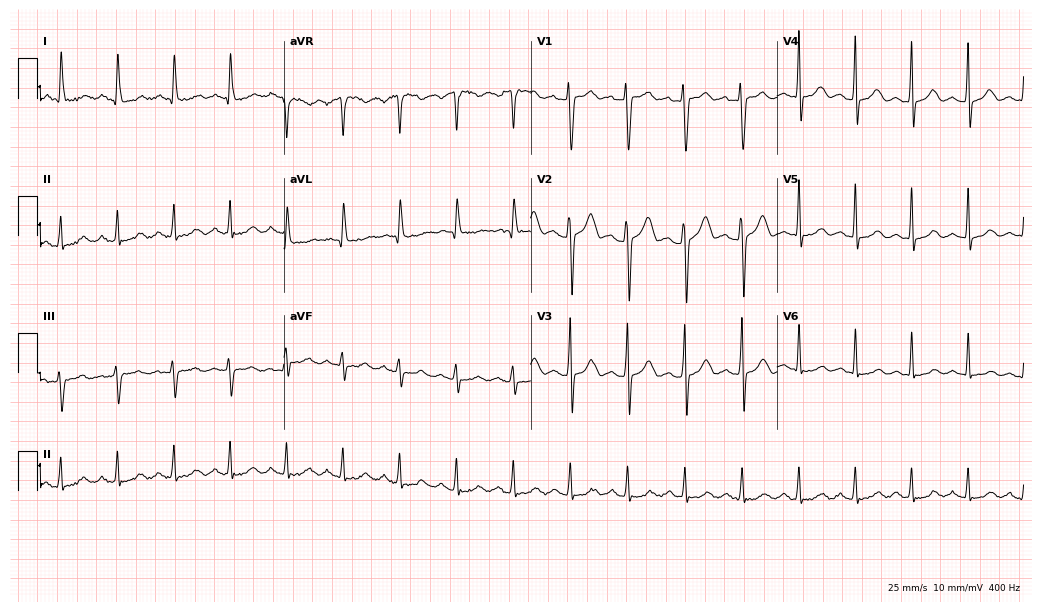
ECG — a female patient, 47 years old. Labelled as a normal ECG.